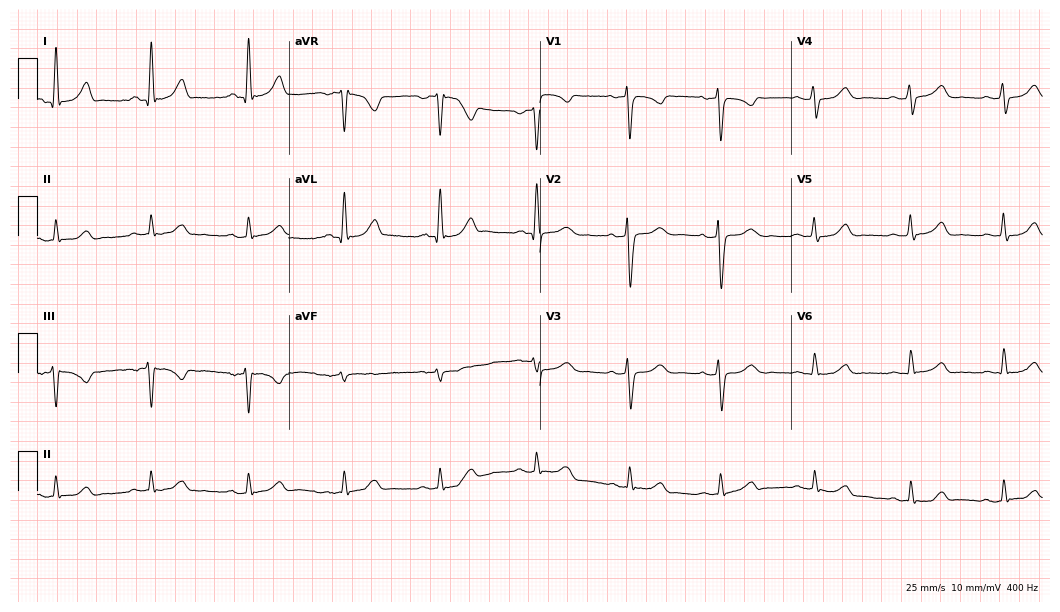
Standard 12-lead ECG recorded from a 43-year-old female patient (10.2-second recording at 400 Hz). Read as a normal ECG.